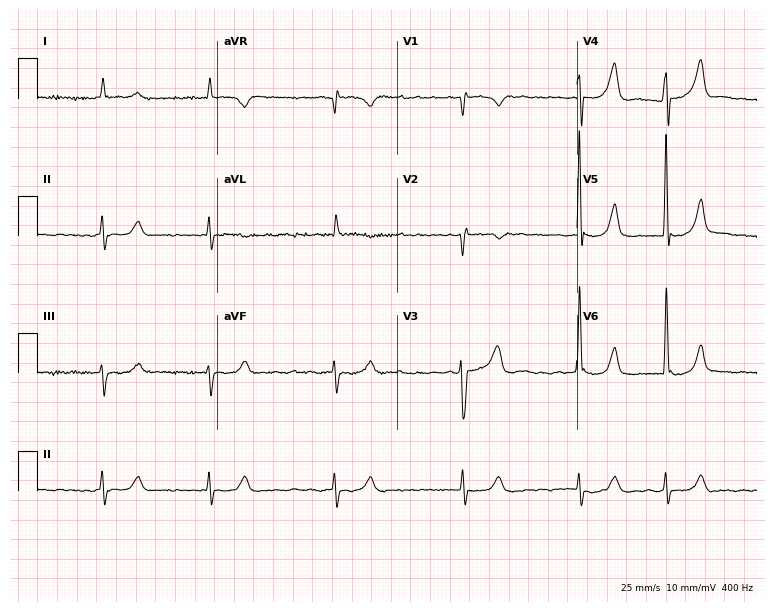
12-lead ECG from a male patient, 80 years old (7.3-second recording at 400 Hz). Shows atrial fibrillation (AF).